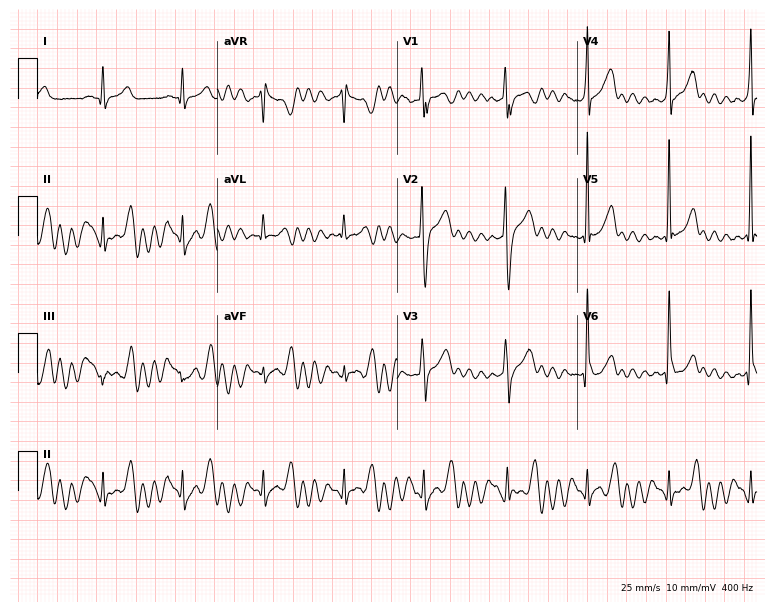
Standard 12-lead ECG recorded from a male patient, 38 years old. None of these six findings is recorded: first-degree AV block, right bundle branch block, left bundle branch block, sinus bradycardia, atrial fibrillation, sinus tachycardia.